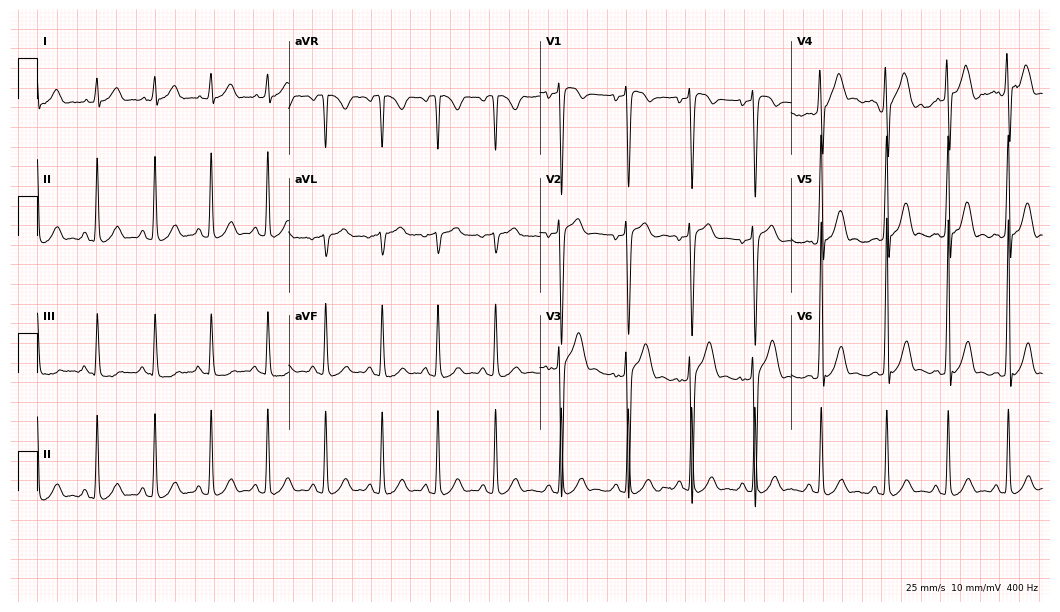
12-lead ECG from a male patient, 21 years old (10.2-second recording at 400 Hz). Recorded interpretation: within normal limits.